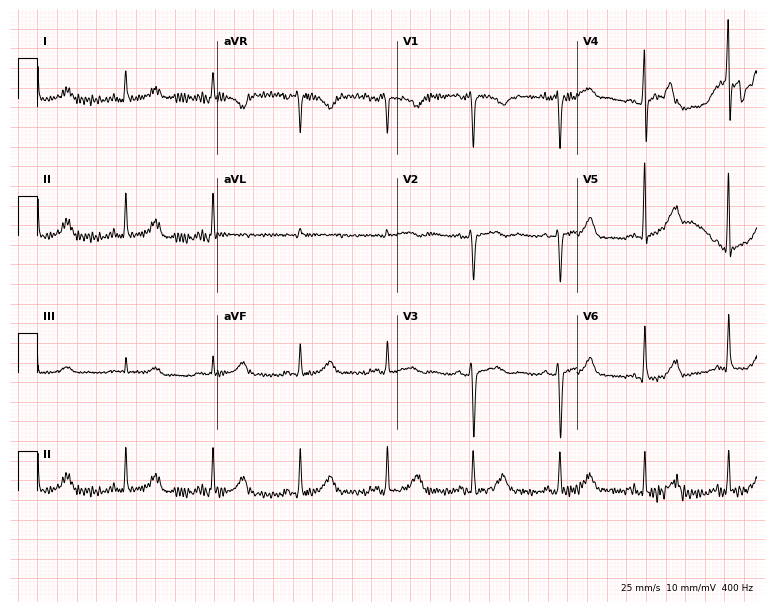
12-lead ECG from a 35-year-old woman. Labelled as a normal ECG.